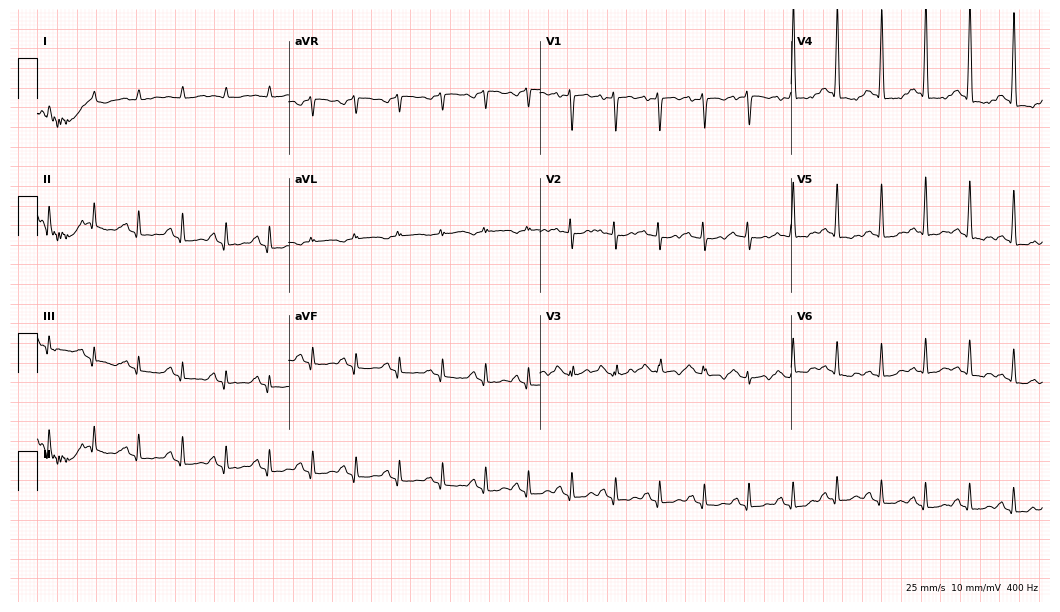
Resting 12-lead electrocardiogram (10.2-second recording at 400 Hz). Patient: a female, 20 years old. The tracing shows sinus tachycardia (a sinus rate of 100 beats per minute or more).